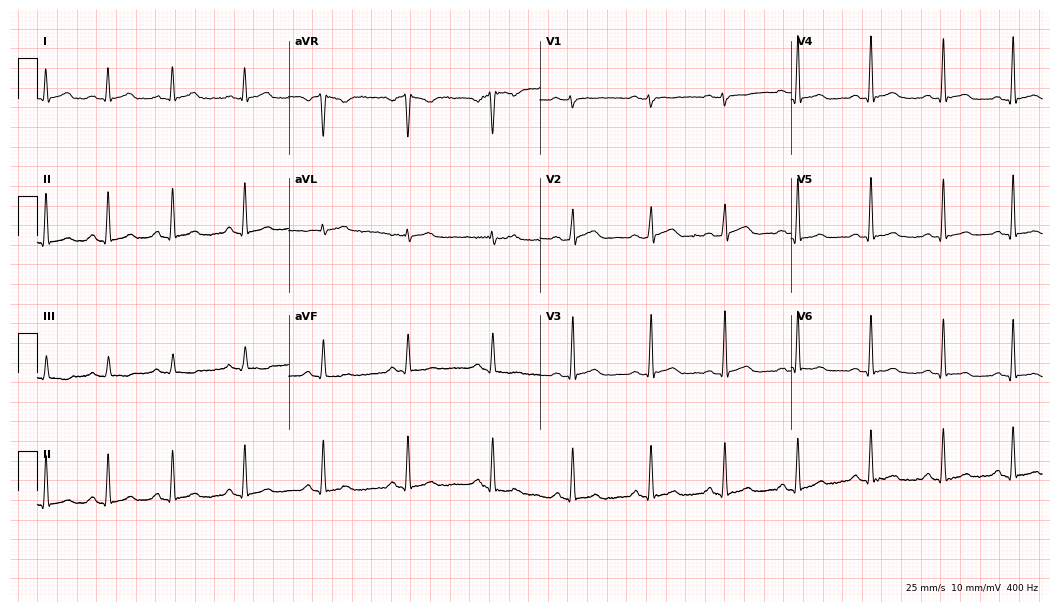
Resting 12-lead electrocardiogram (10.2-second recording at 400 Hz). Patient: a male, 31 years old. Read as a normal ECG.